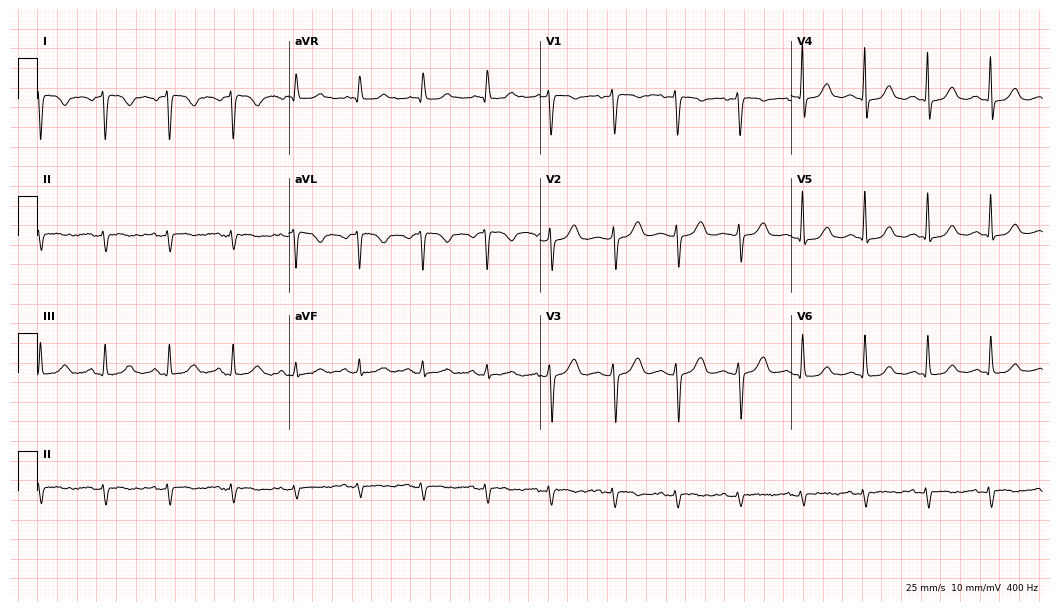
ECG (10.2-second recording at 400 Hz) — a woman, 46 years old. Screened for six findings — first-degree AV block, right bundle branch block (RBBB), left bundle branch block (LBBB), sinus bradycardia, atrial fibrillation (AF), sinus tachycardia — none is recorded.